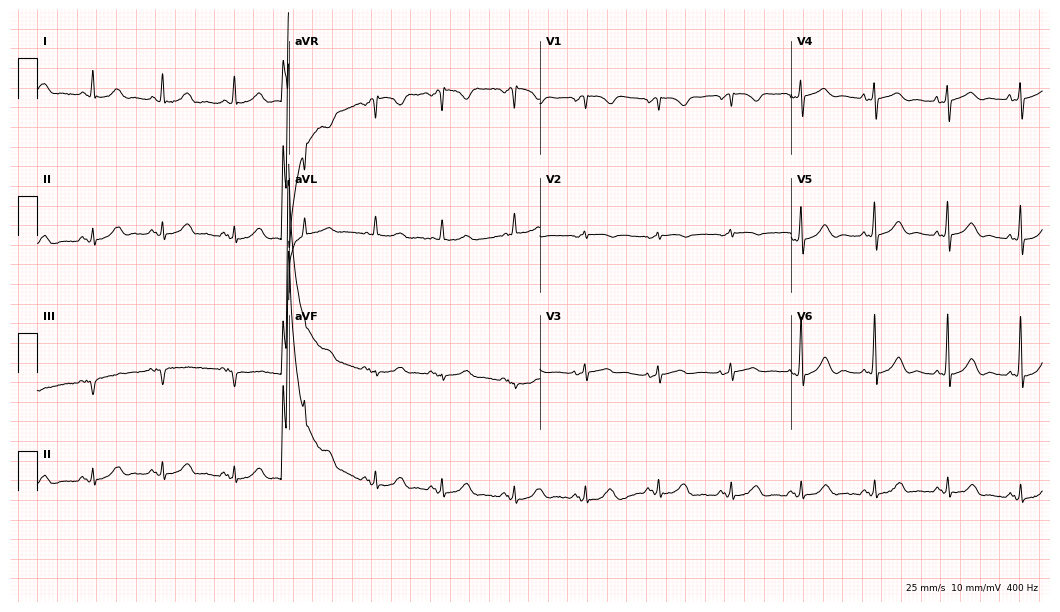
Standard 12-lead ECG recorded from a 49-year-old male (10.2-second recording at 400 Hz). Read as a normal ECG.